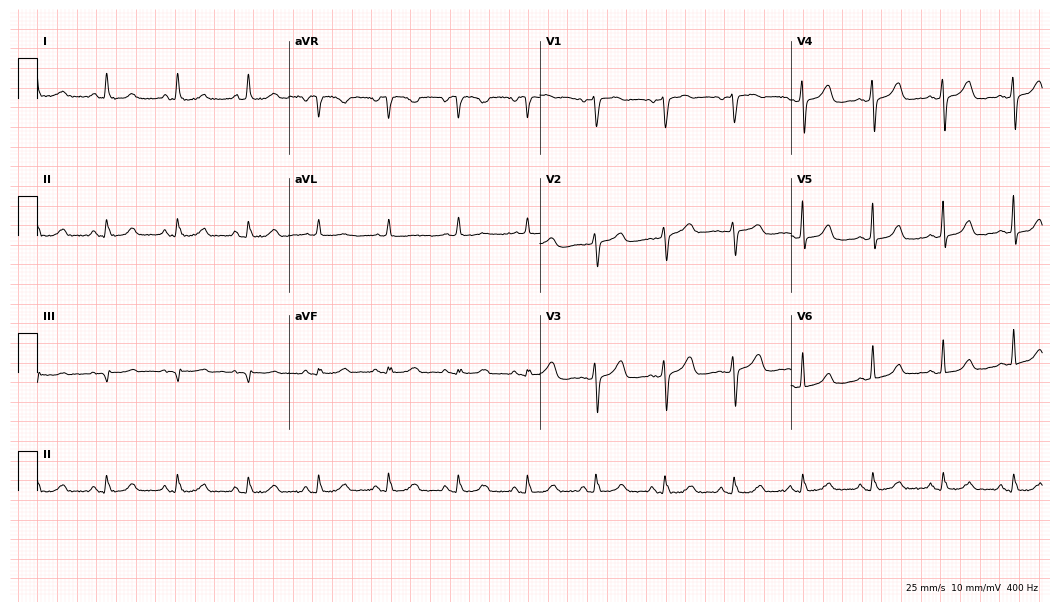
Resting 12-lead electrocardiogram. Patient: a woman, 61 years old. None of these six findings is recorded: first-degree AV block, right bundle branch block, left bundle branch block, sinus bradycardia, atrial fibrillation, sinus tachycardia.